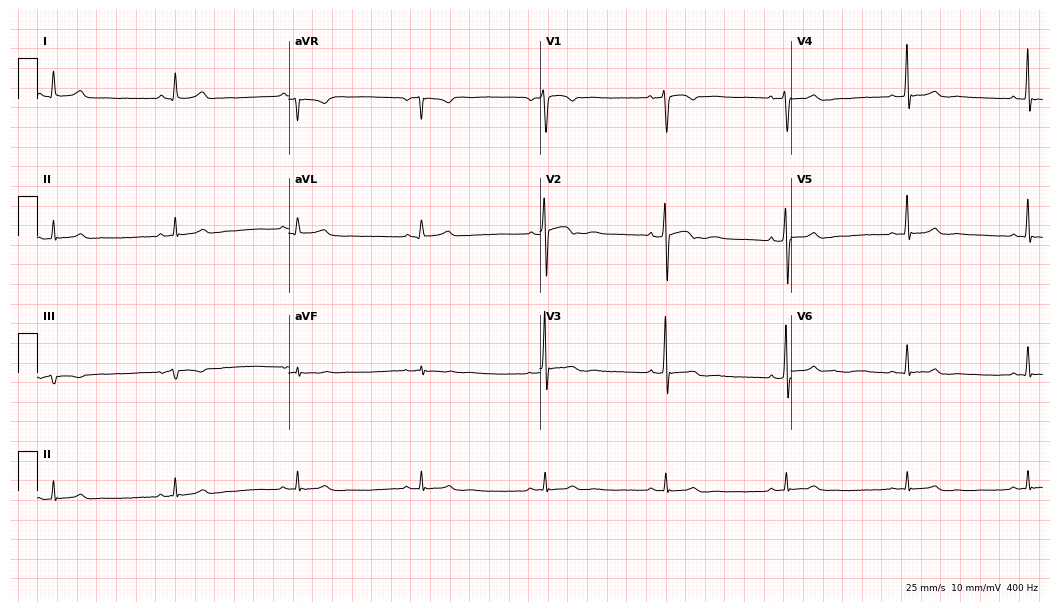
Electrocardiogram (10.2-second recording at 400 Hz), a male patient, 48 years old. Interpretation includes sinus bradycardia (a sinus rate of 50 beats per minute or less).